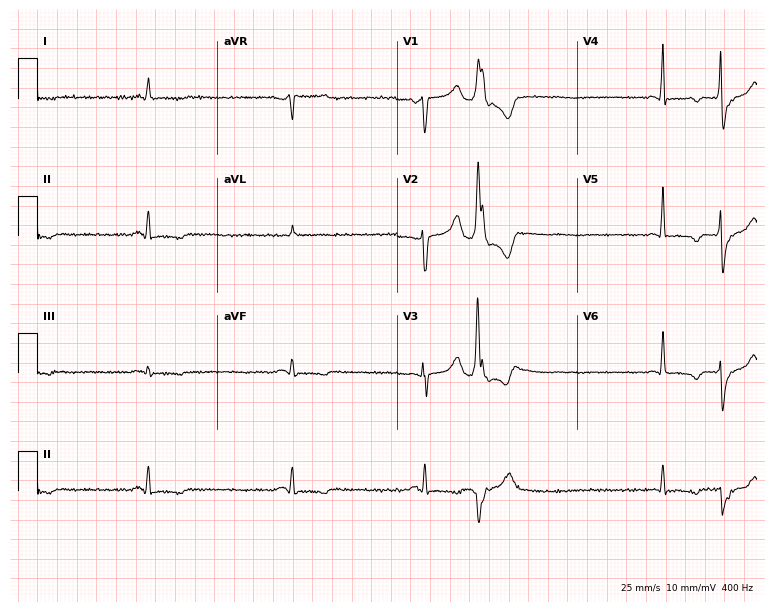
12-lead ECG (7.3-second recording at 400 Hz) from a female patient, 52 years old. Findings include sinus bradycardia (a sinus rate of 50 beats per minute or less).